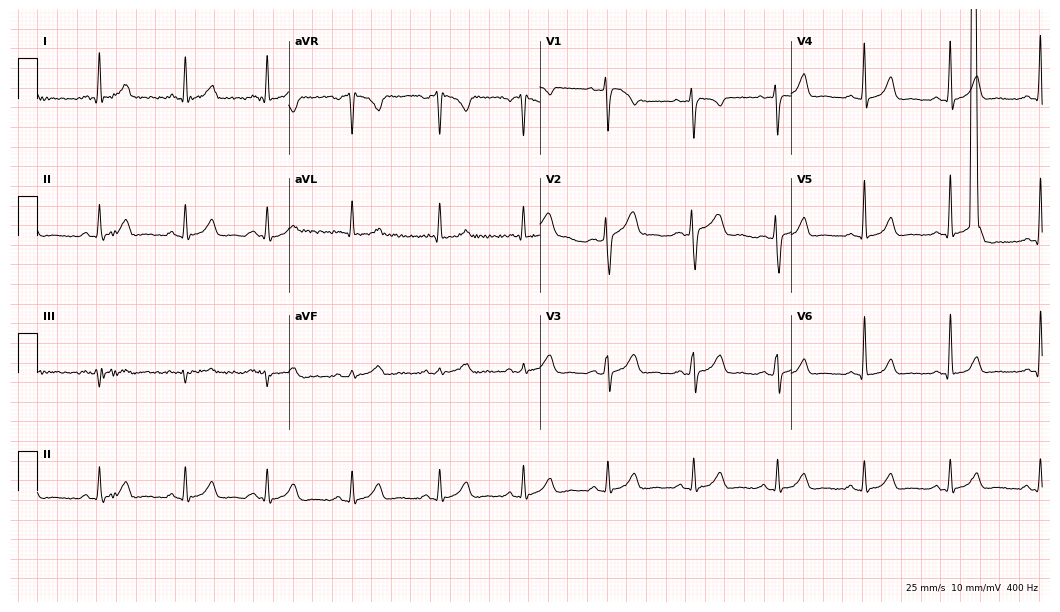
12-lead ECG from a female patient, 77 years old. Labelled as a normal ECG.